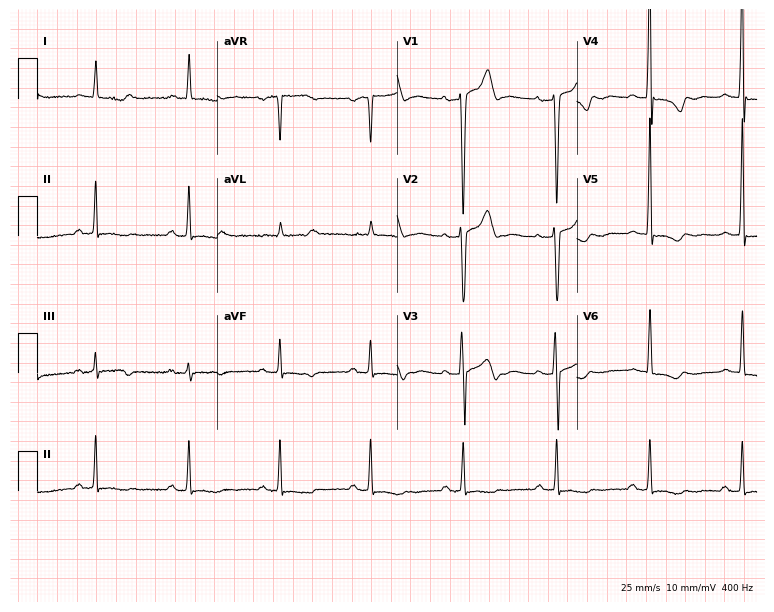
Resting 12-lead electrocardiogram. Patient: a 71-year-old male. None of these six findings is recorded: first-degree AV block, right bundle branch block, left bundle branch block, sinus bradycardia, atrial fibrillation, sinus tachycardia.